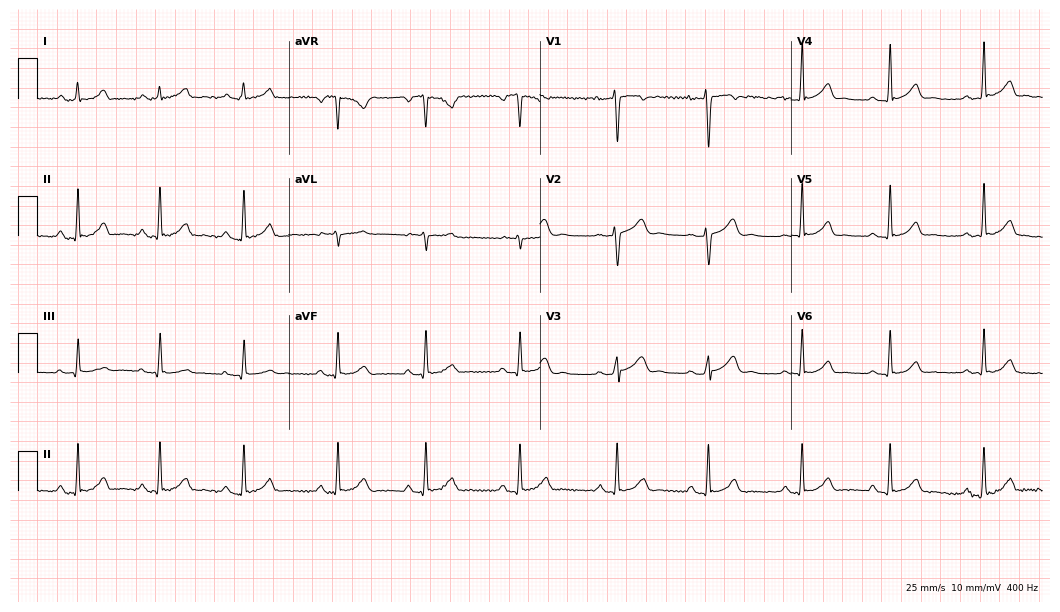
Resting 12-lead electrocardiogram. Patient: a female, 30 years old. Read as a normal ECG.